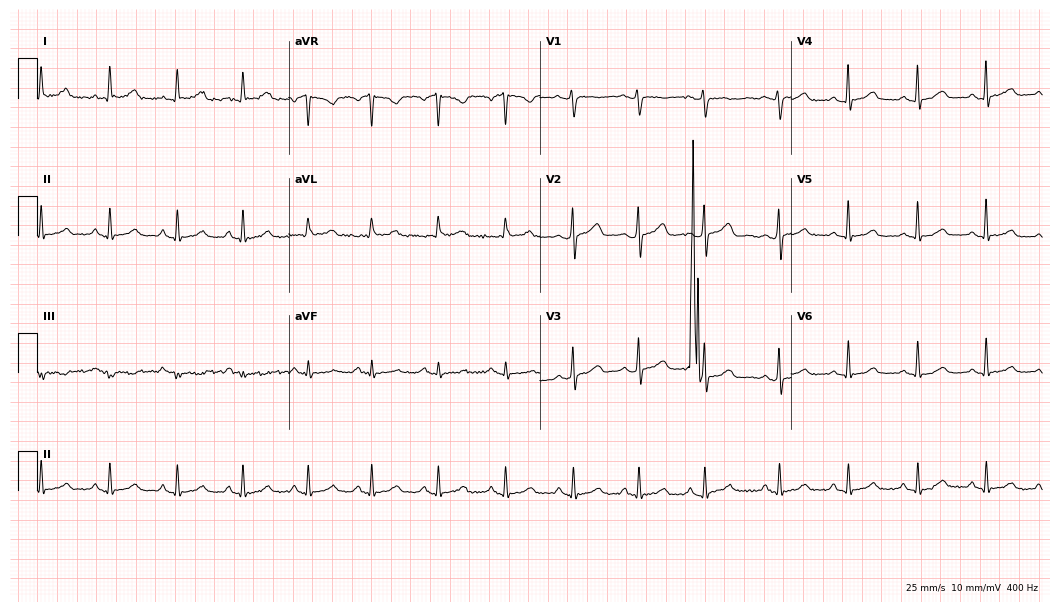
Electrocardiogram (10.2-second recording at 400 Hz), a 43-year-old female patient. Overall reading on record: normal ECG.